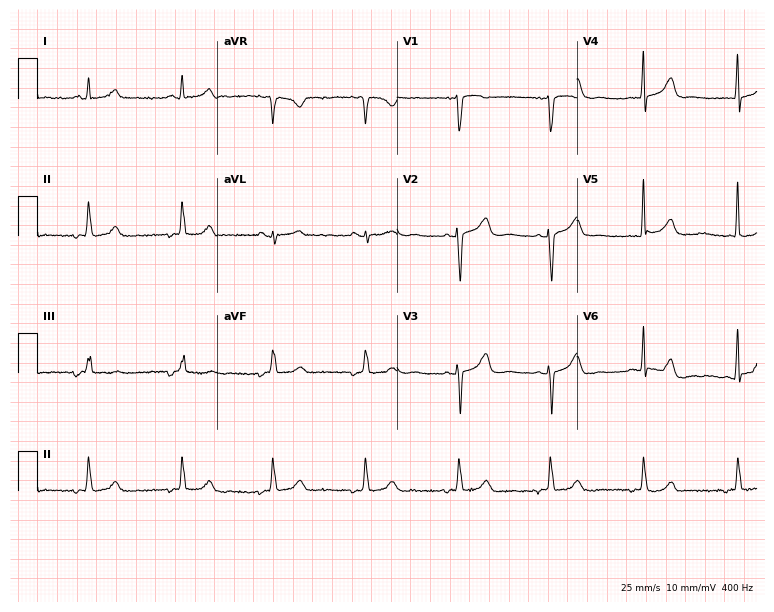
Electrocardiogram, a 66-year-old female patient. Of the six screened findings (first-degree AV block, right bundle branch block (RBBB), left bundle branch block (LBBB), sinus bradycardia, atrial fibrillation (AF), sinus tachycardia), none is recorded.